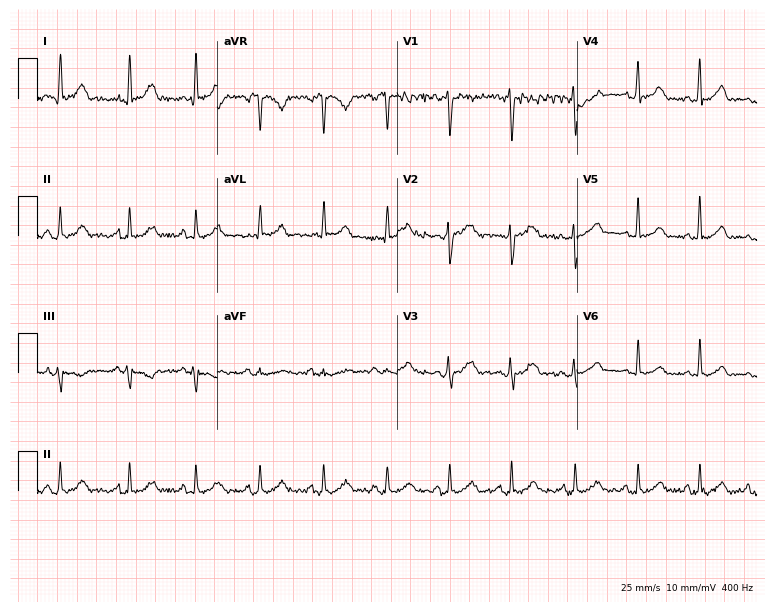
12-lead ECG from a woman, 34 years old. Screened for six findings — first-degree AV block, right bundle branch block, left bundle branch block, sinus bradycardia, atrial fibrillation, sinus tachycardia — none is recorded. Findings outside these six are not listed.